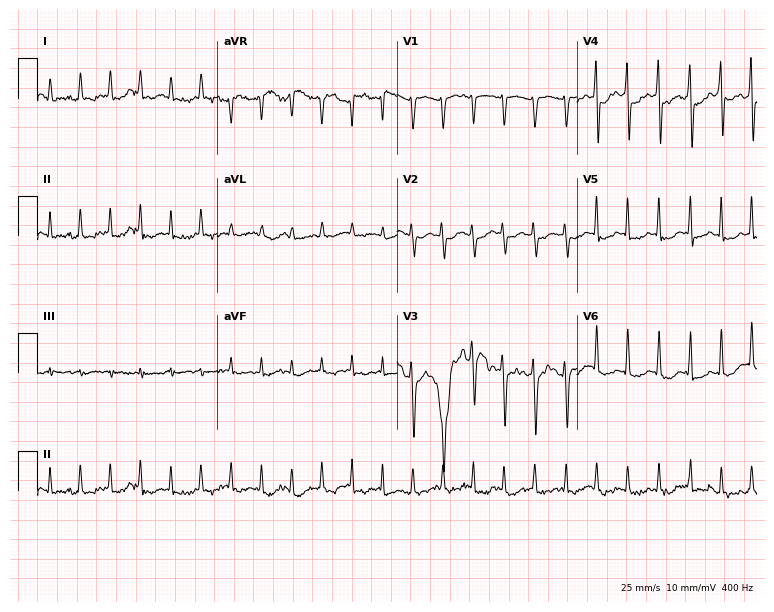
Electrocardiogram, a female, 69 years old. Interpretation includes atrial fibrillation (AF).